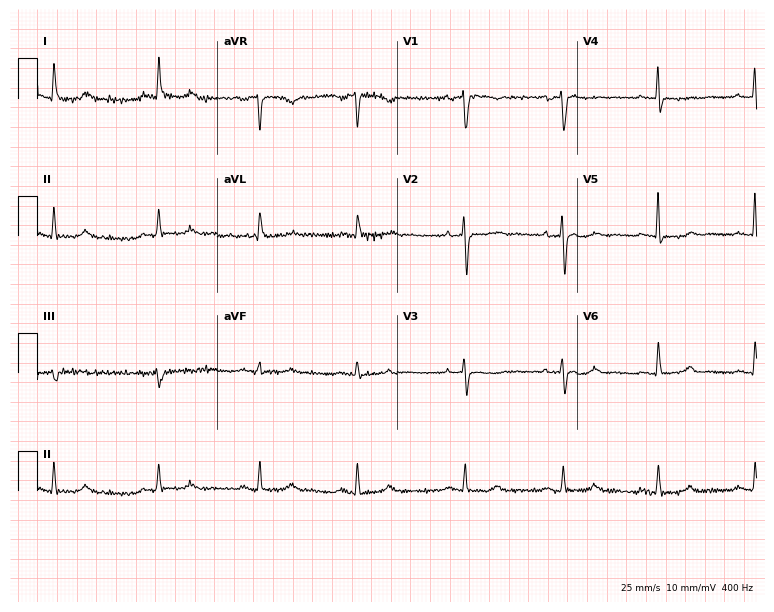
Resting 12-lead electrocardiogram (7.3-second recording at 400 Hz). Patient: a female, 65 years old. None of these six findings is recorded: first-degree AV block, right bundle branch block, left bundle branch block, sinus bradycardia, atrial fibrillation, sinus tachycardia. Only these six findings were labelled.